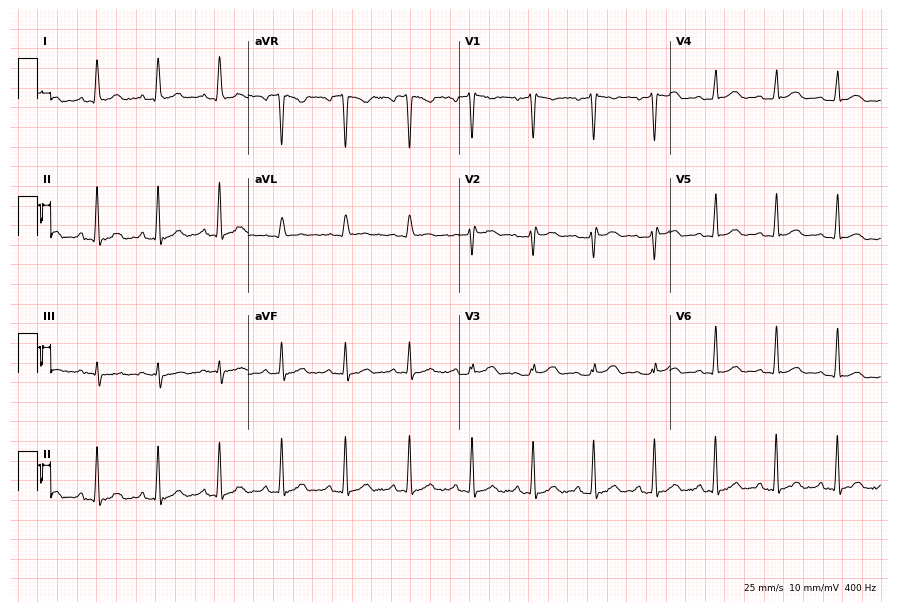
12-lead ECG from a female patient, 24 years old. Recorded interpretation: within normal limits.